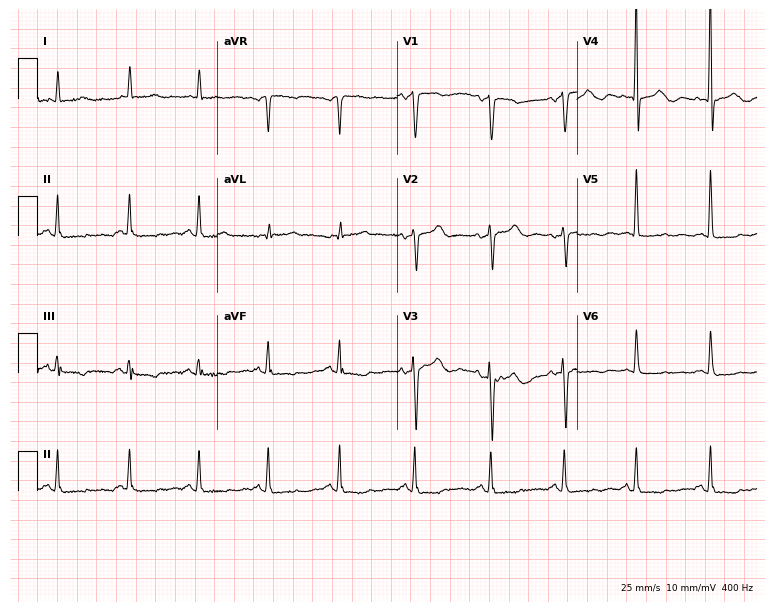
Electrocardiogram (7.3-second recording at 400 Hz), a woman, 77 years old. Of the six screened findings (first-degree AV block, right bundle branch block, left bundle branch block, sinus bradycardia, atrial fibrillation, sinus tachycardia), none is recorded.